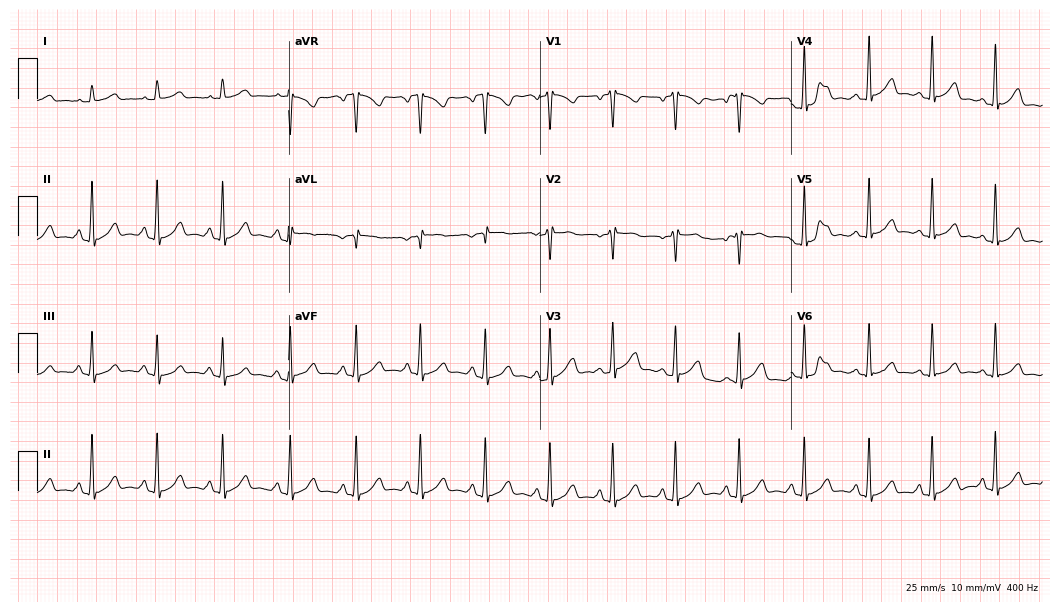
Resting 12-lead electrocardiogram. Patient: a 20-year-old woman. Read as a normal ECG.